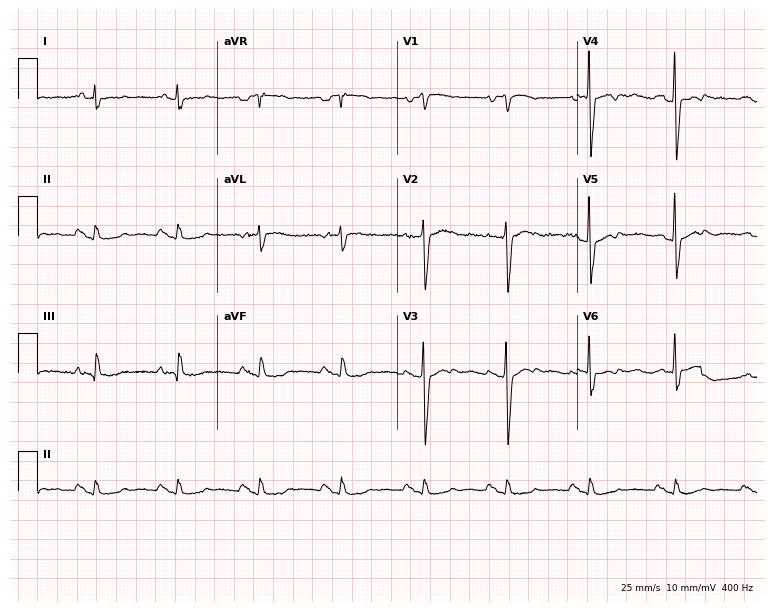
ECG (7.3-second recording at 400 Hz) — a male patient, 85 years old. Screened for six findings — first-degree AV block, right bundle branch block, left bundle branch block, sinus bradycardia, atrial fibrillation, sinus tachycardia — none is recorded.